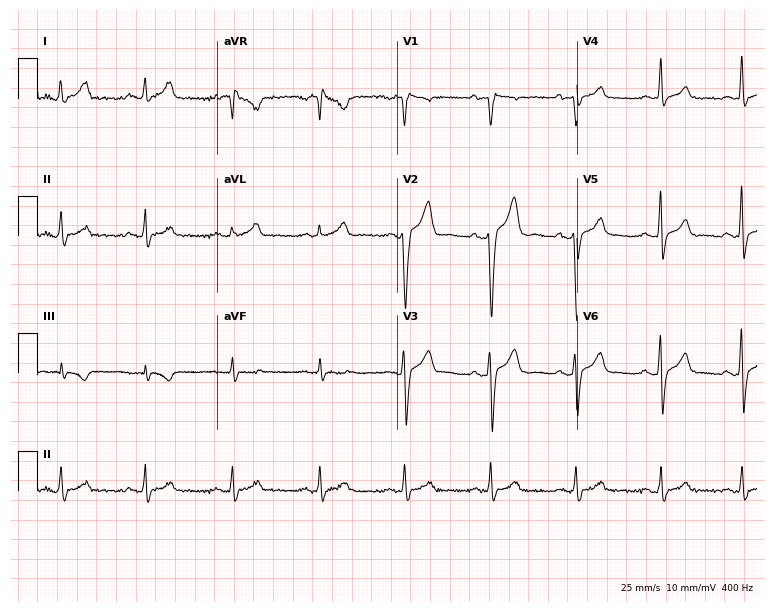
12-lead ECG (7.3-second recording at 400 Hz) from a male patient, 35 years old. Labelled as a normal ECG.